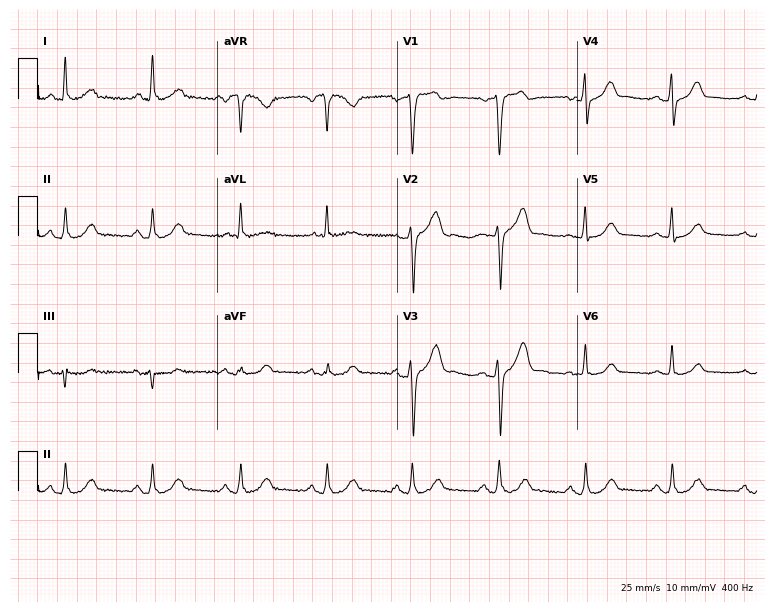
12-lead ECG from a 53-year-old male (7.3-second recording at 400 Hz). Recorded interpretation: within normal limits.